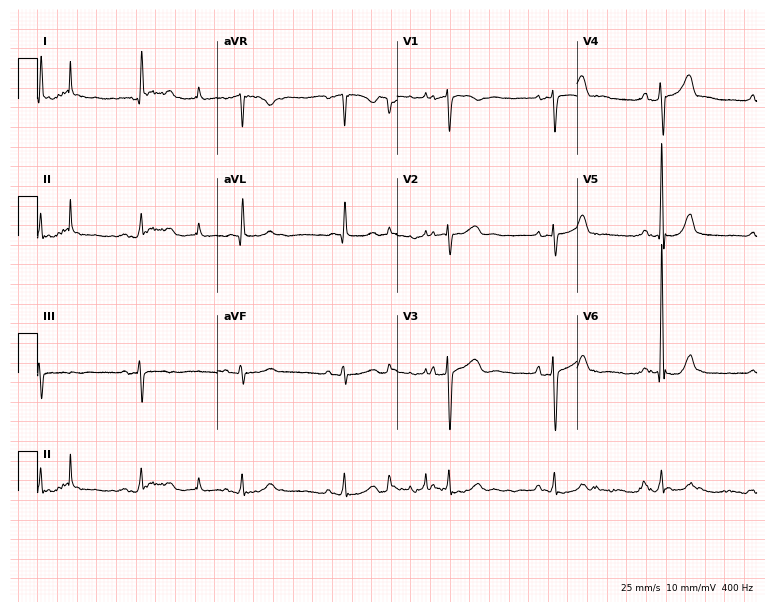
Electrocardiogram, an 84-year-old man. Of the six screened findings (first-degree AV block, right bundle branch block (RBBB), left bundle branch block (LBBB), sinus bradycardia, atrial fibrillation (AF), sinus tachycardia), none is recorded. Findings outside these six are not listed.